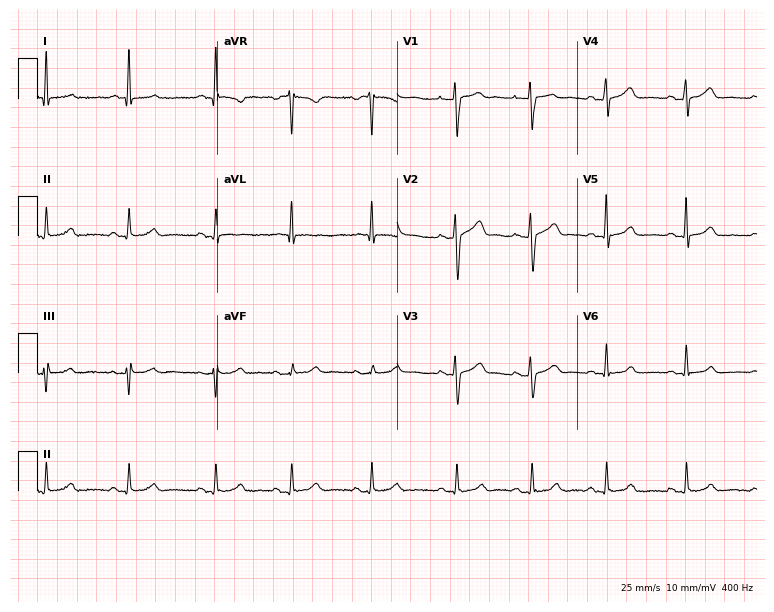
Resting 12-lead electrocardiogram (7.3-second recording at 400 Hz). Patient: a 38-year-old woman. Read as a normal ECG.